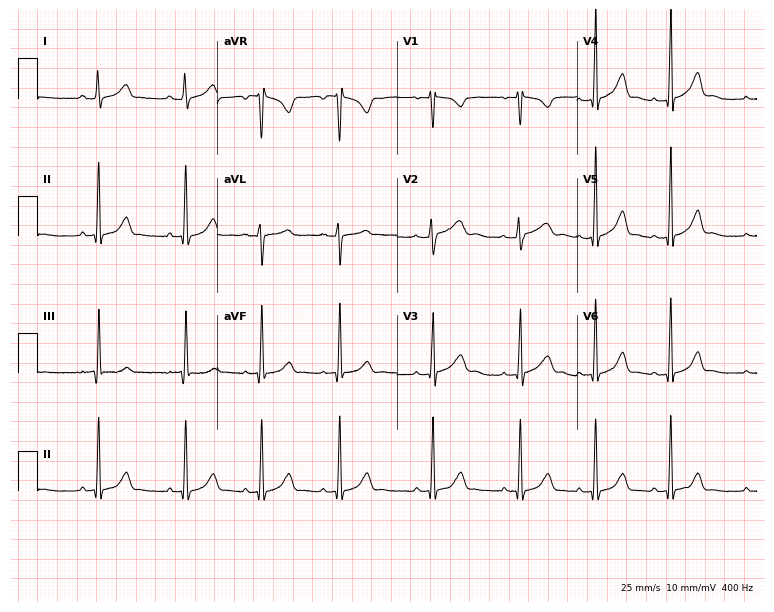
12-lead ECG (7.3-second recording at 400 Hz) from a 17-year-old woman. Labelled as a normal ECG.